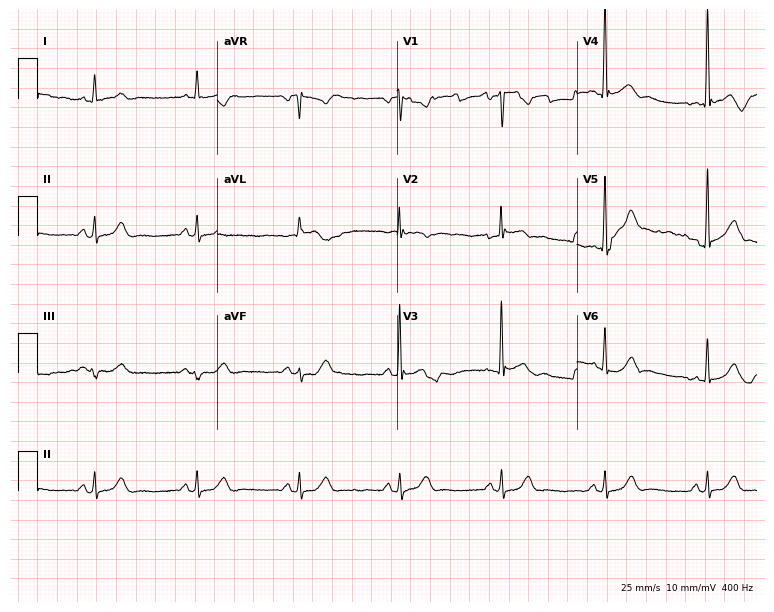
Resting 12-lead electrocardiogram. Patient: a male, 81 years old. Read as a normal ECG.